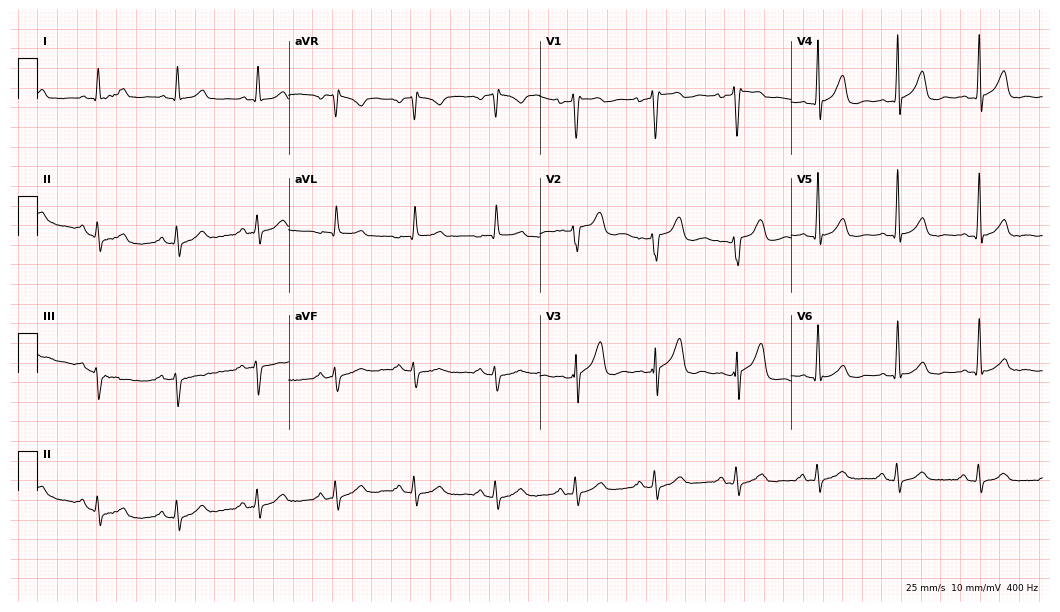
Standard 12-lead ECG recorded from a 49-year-old male. Read as a normal ECG.